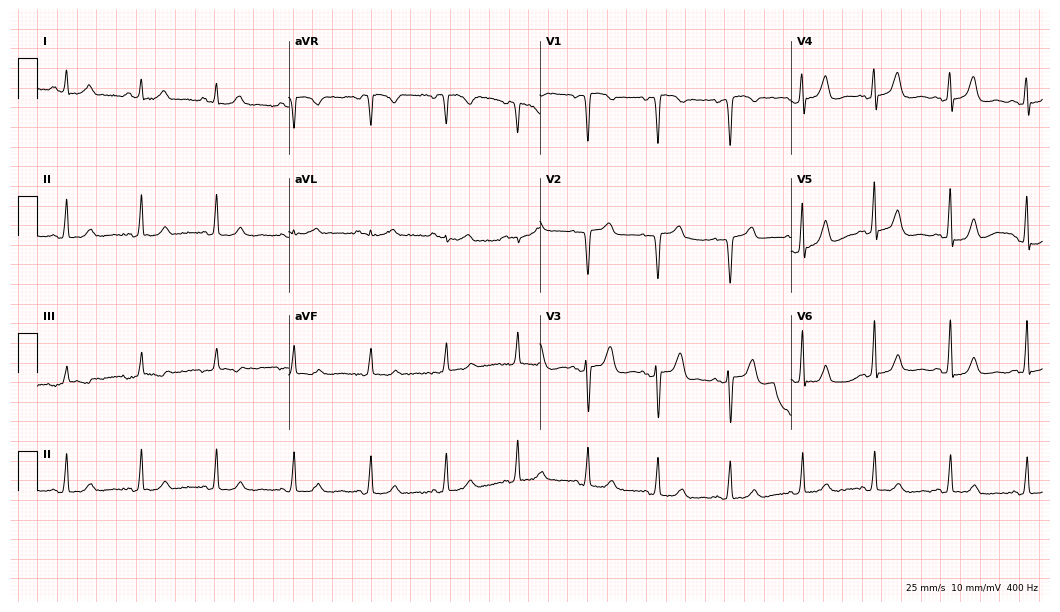
ECG — a woman, 53 years old. Labelled as a normal ECG.